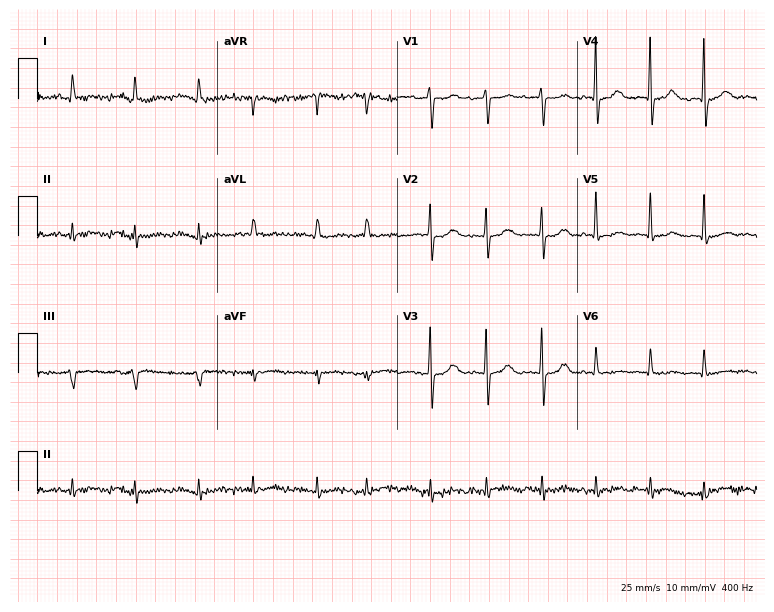
Electrocardiogram (7.3-second recording at 400 Hz), an 80-year-old female patient. Interpretation includes sinus tachycardia (a sinus rate of 100 beats per minute or more).